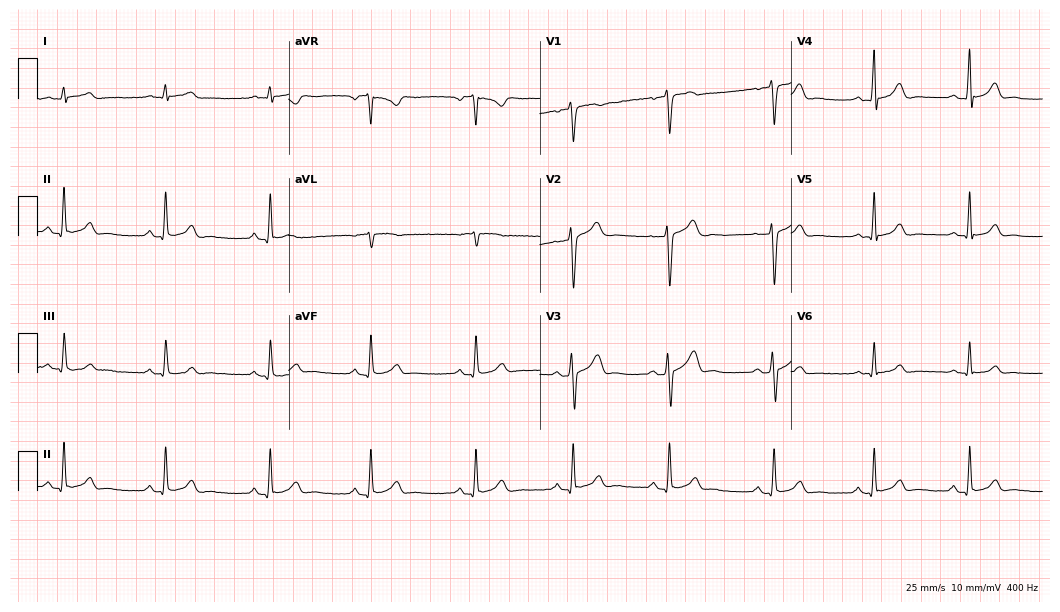
Resting 12-lead electrocardiogram (10.2-second recording at 400 Hz). Patient: a male, 25 years old. Read as a normal ECG.